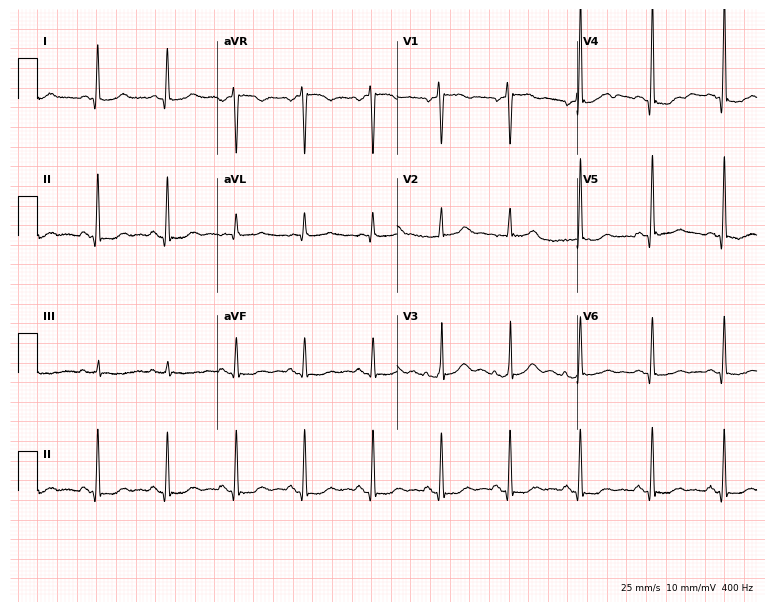
12-lead ECG from a female, 51 years old. No first-degree AV block, right bundle branch block, left bundle branch block, sinus bradycardia, atrial fibrillation or sinus tachycardia recorded for this tracing. Only these six findings were labelled.